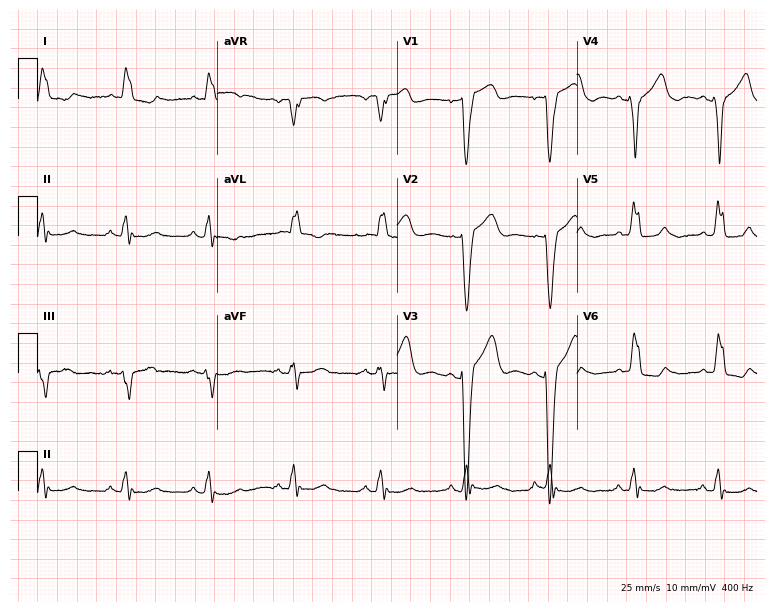
12-lead ECG from a 73-year-old female patient. Shows left bundle branch block.